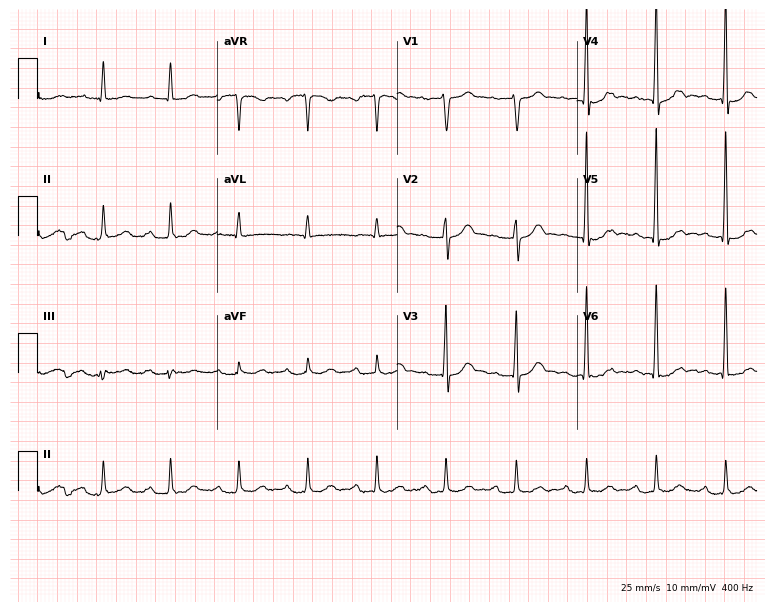
Resting 12-lead electrocardiogram. Patient: a man, 71 years old. Read as a normal ECG.